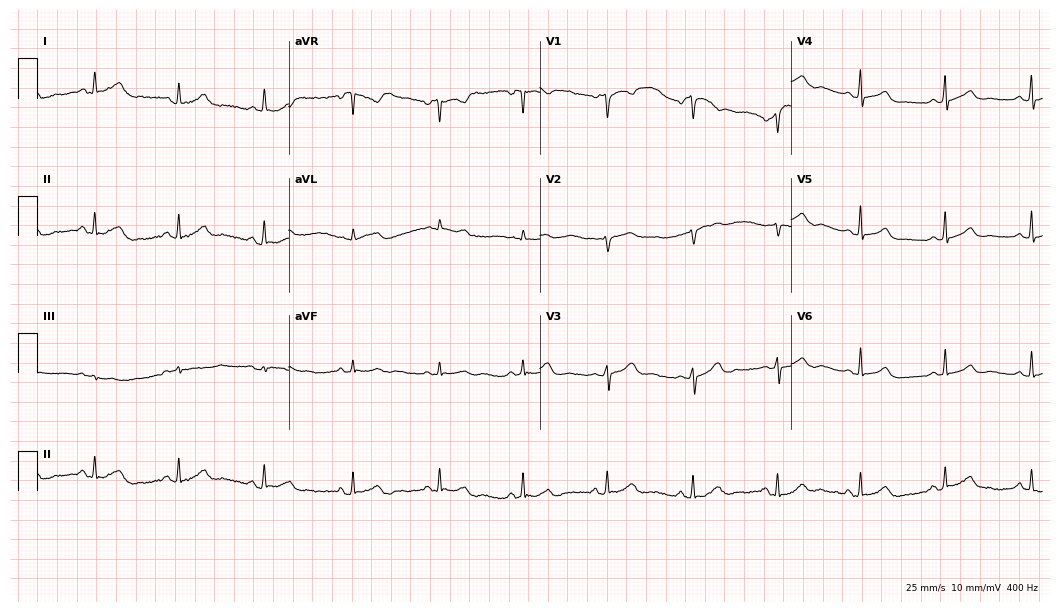
12-lead ECG from a 51-year-old woman. No first-degree AV block, right bundle branch block, left bundle branch block, sinus bradycardia, atrial fibrillation or sinus tachycardia recorded for this tracing. Findings outside these six are not listed.